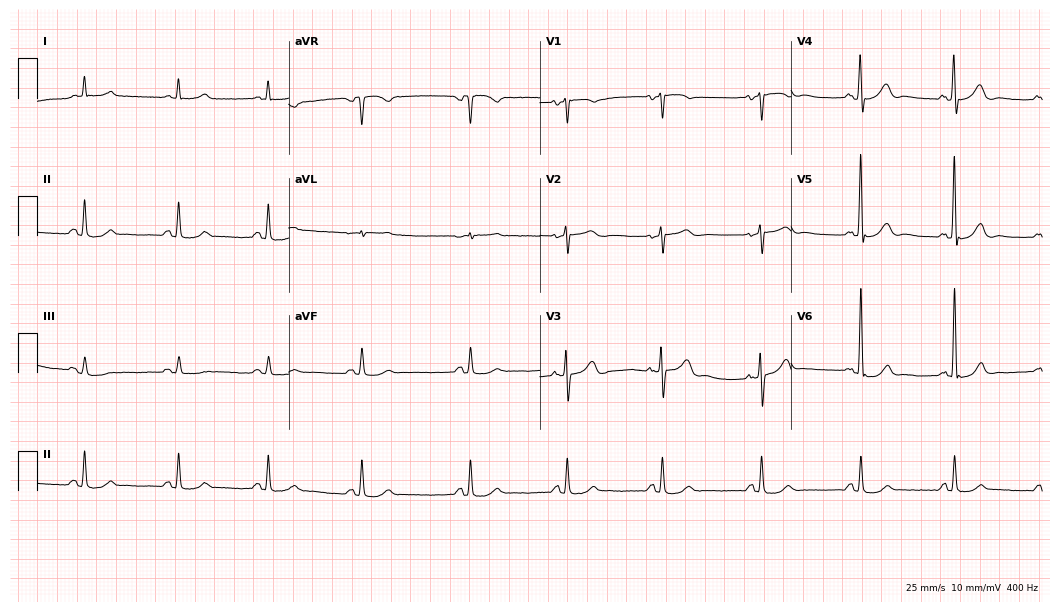
12-lead ECG from a 75-year-old male. Recorded interpretation: within normal limits.